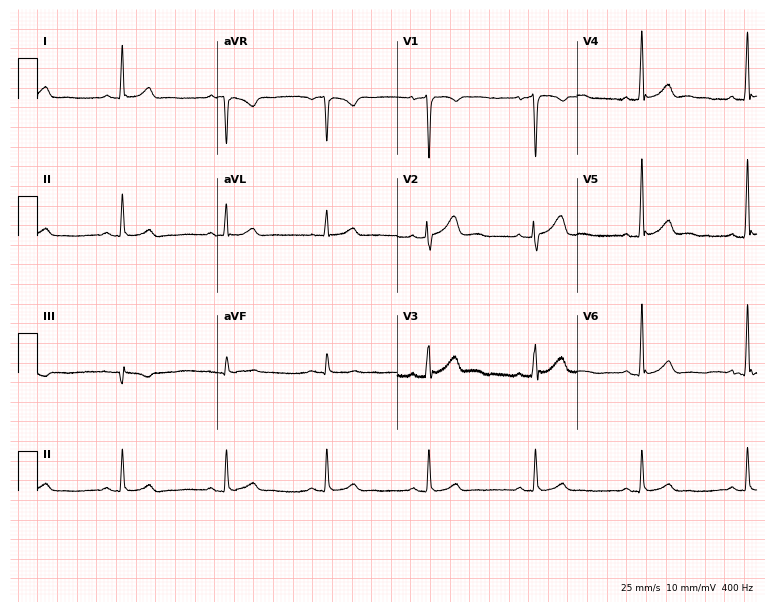
Resting 12-lead electrocardiogram (7.3-second recording at 400 Hz). Patient: a 39-year-old man. Read as a normal ECG.